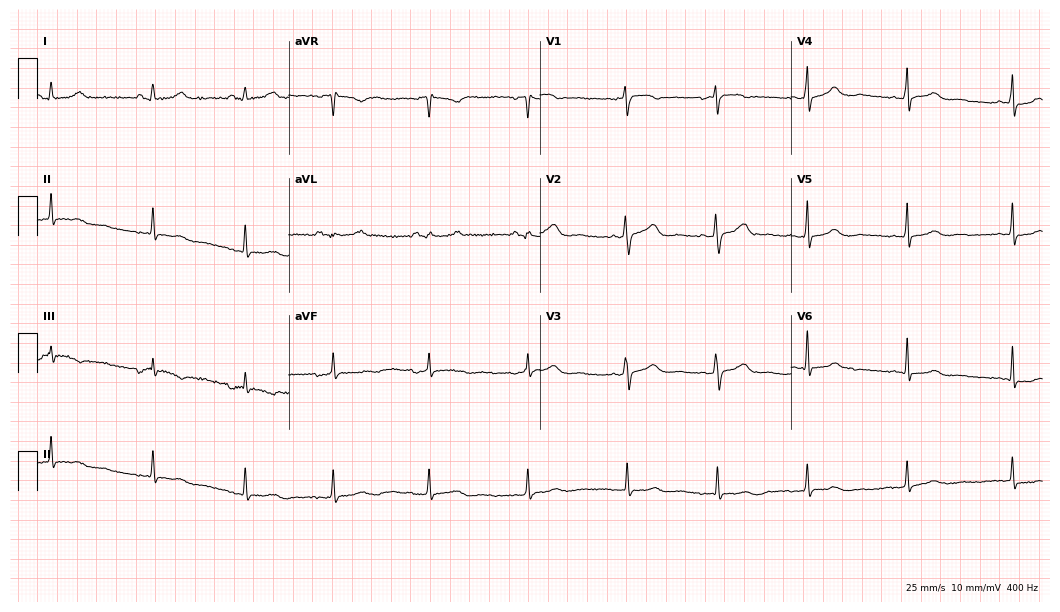
Electrocardiogram (10.2-second recording at 400 Hz), a 35-year-old female patient. Of the six screened findings (first-degree AV block, right bundle branch block, left bundle branch block, sinus bradycardia, atrial fibrillation, sinus tachycardia), none is recorded. Findings outside these six are not listed.